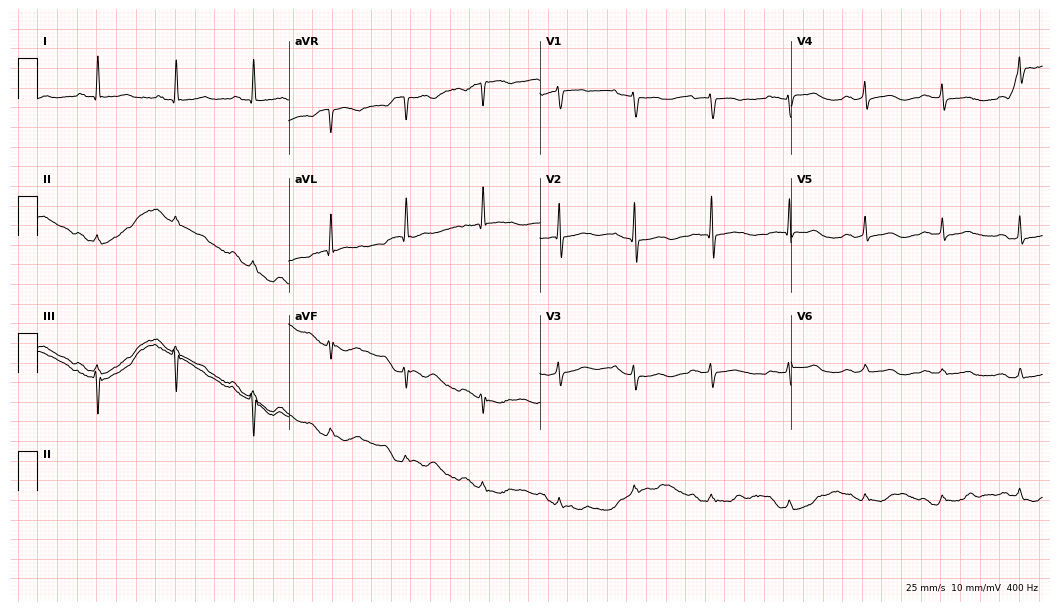
Standard 12-lead ECG recorded from a female patient, 85 years old (10.2-second recording at 400 Hz). Read as a normal ECG.